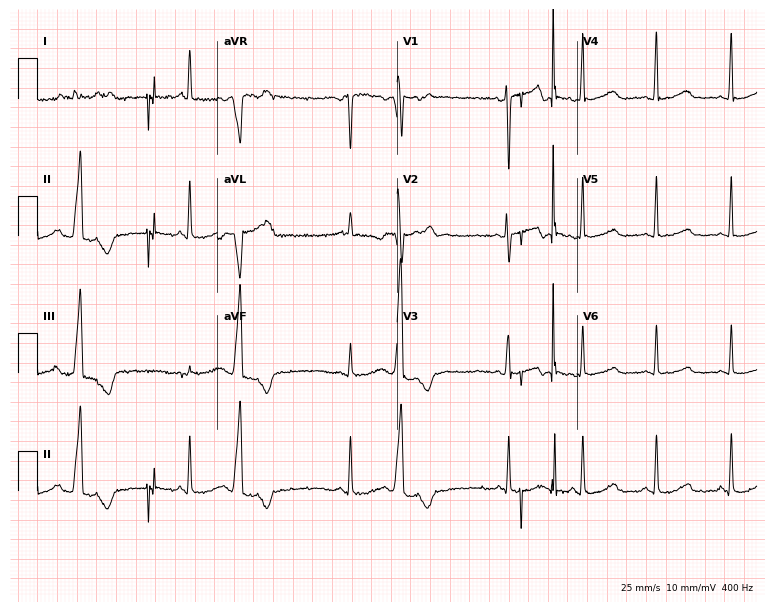
12-lead ECG from a woman, 48 years old. Screened for six findings — first-degree AV block, right bundle branch block, left bundle branch block, sinus bradycardia, atrial fibrillation, sinus tachycardia — none is recorded.